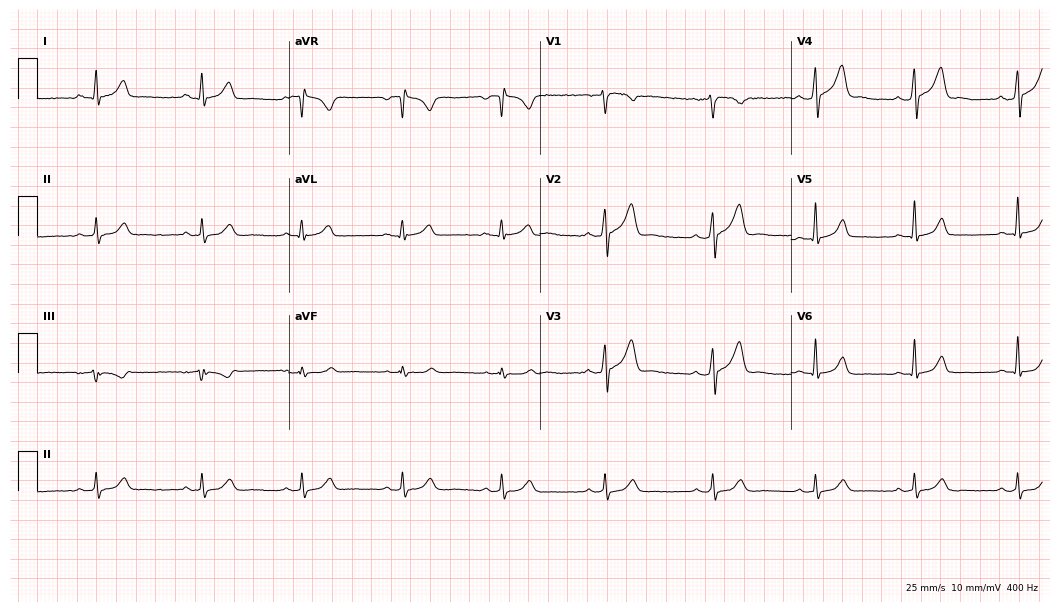
12-lead ECG from a male, 32 years old (10.2-second recording at 400 Hz). Recorded interpretation: within normal limits.